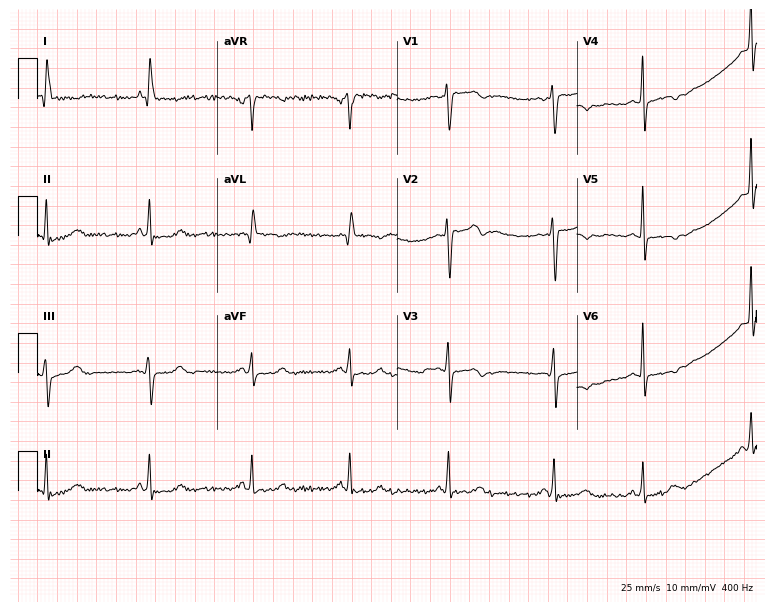
Resting 12-lead electrocardiogram (7.3-second recording at 400 Hz). Patient: a 62-year-old female. None of these six findings is recorded: first-degree AV block, right bundle branch block, left bundle branch block, sinus bradycardia, atrial fibrillation, sinus tachycardia.